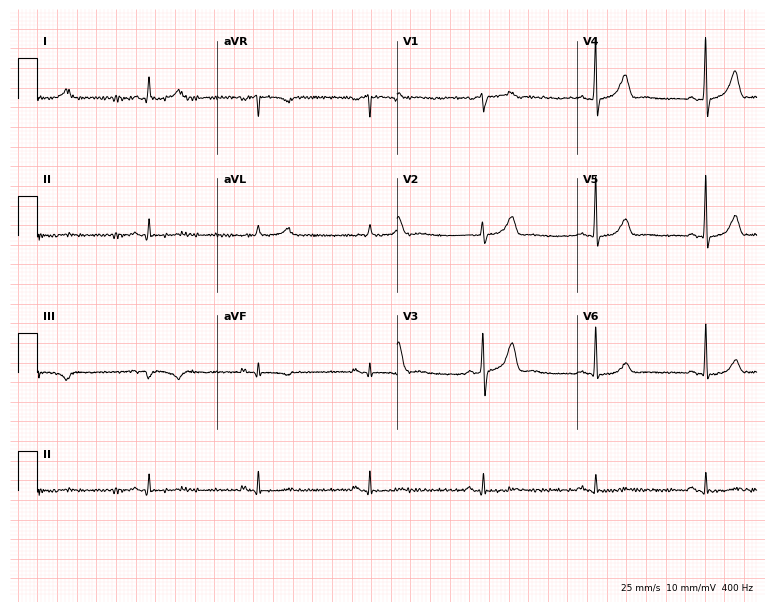
Electrocardiogram (7.3-second recording at 400 Hz), a 67-year-old male patient. Of the six screened findings (first-degree AV block, right bundle branch block (RBBB), left bundle branch block (LBBB), sinus bradycardia, atrial fibrillation (AF), sinus tachycardia), none is recorded. Only these six findings were labelled.